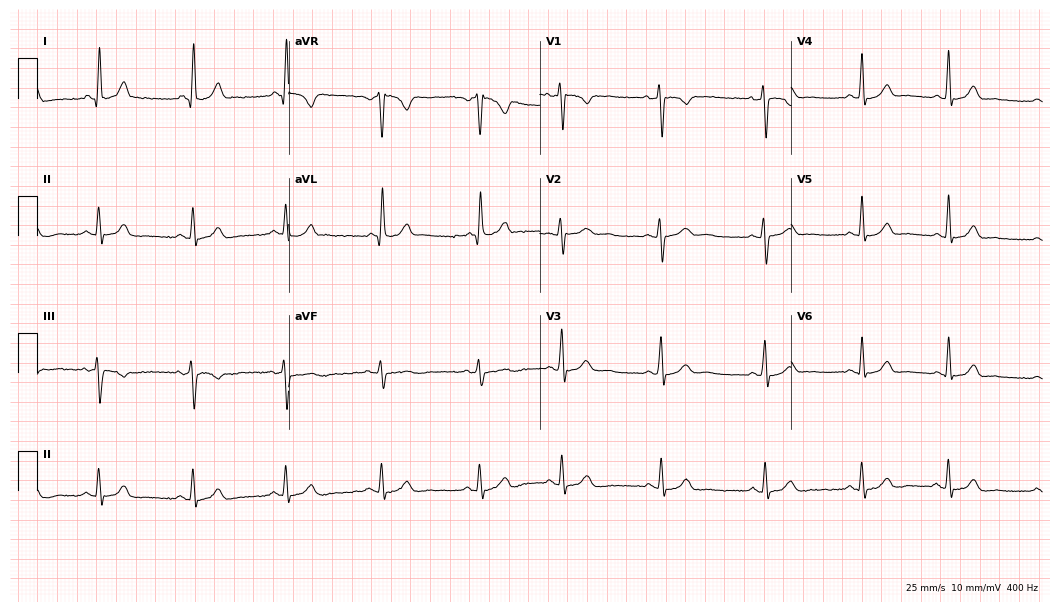
Resting 12-lead electrocardiogram. Patient: a 22-year-old woman. None of these six findings is recorded: first-degree AV block, right bundle branch block, left bundle branch block, sinus bradycardia, atrial fibrillation, sinus tachycardia. Only these six findings were labelled.